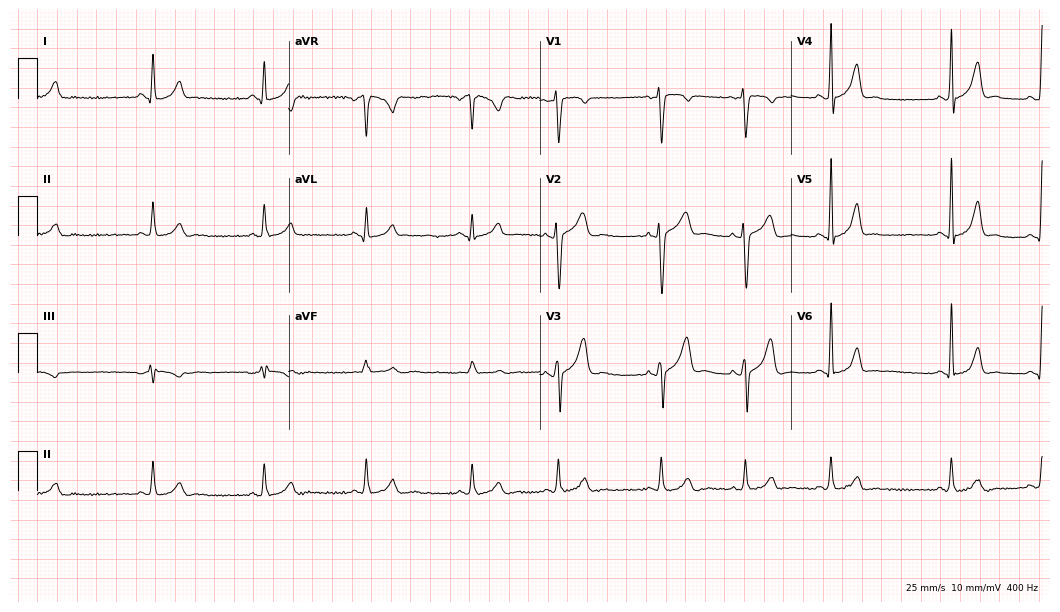
12-lead ECG from an 18-year-old female patient. Screened for six findings — first-degree AV block, right bundle branch block, left bundle branch block, sinus bradycardia, atrial fibrillation, sinus tachycardia — none is recorded. Other findings, if any, are not listed.